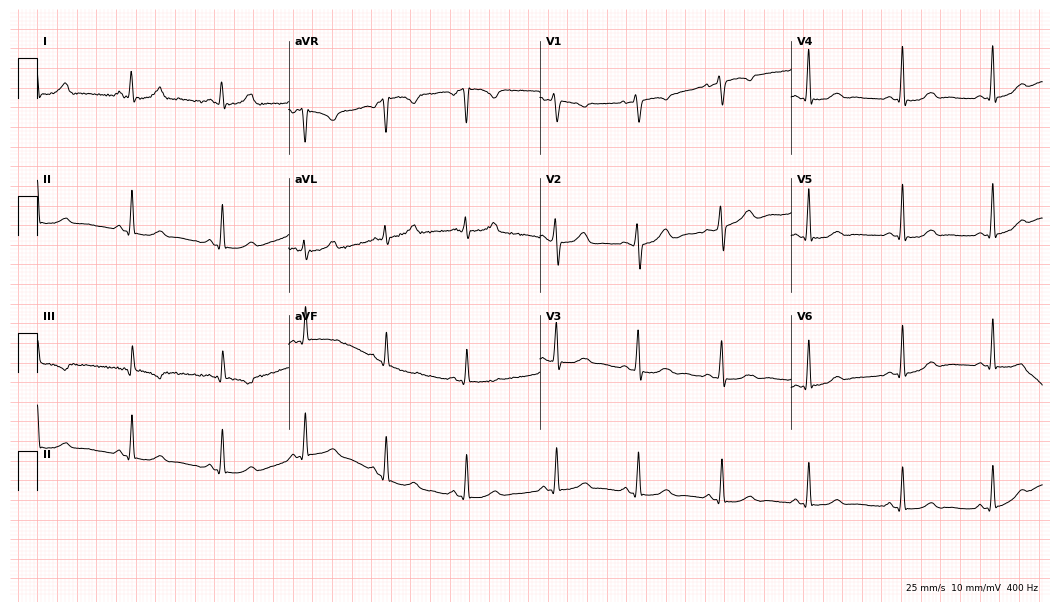
Standard 12-lead ECG recorded from a woman, 34 years old (10.2-second recording at 400 Hz). None of these six findings is recorded: first-degree AV block, right bundle branch block, left bundle branch block, sinus bradycardia, atrial fibrillation, sinus tachycardia. Other findings, if any, are not listed.